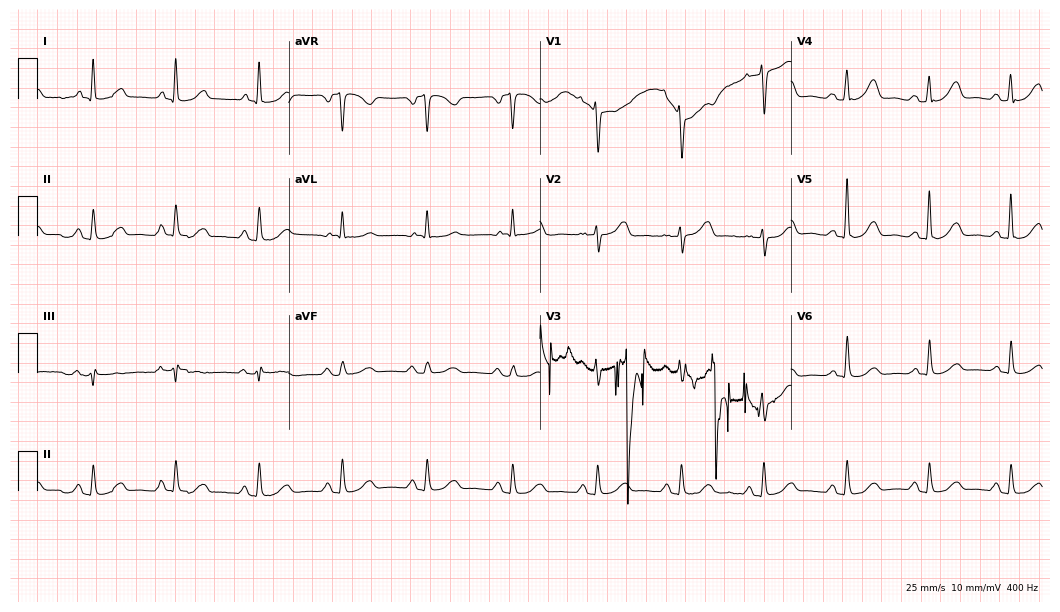
12-lead ECG from a 74-year-old female patient (10.2-second recording at 400 Hz). No first-degree AV block, right bundle branch block (RBBB), left bundle branch block (LBBB), sinus bradycardia, atrial fibrillation (AF) or sinus tachycardia recorded for this tracing. Other findings, if any, are not listed.